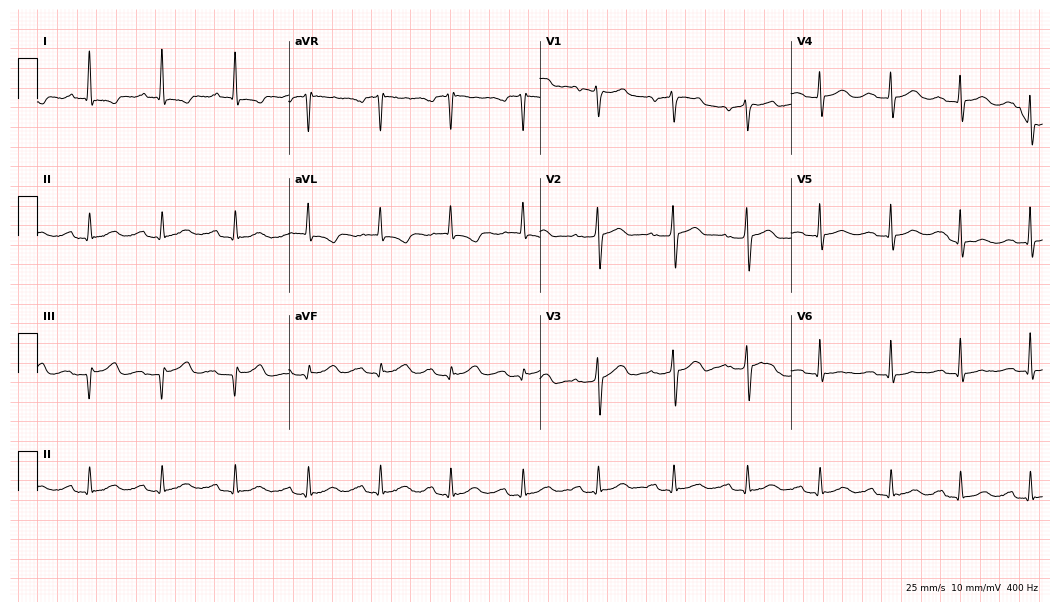
Electrocardiogram, a 66-year-old man. Of the six screened findings (first-degree AV block, right bundle branch block (RBBB), left bundle branch block (LBBB), sinus bradycardia, atrial fibrillation (AF), sinus tachycardia), none is recorded.